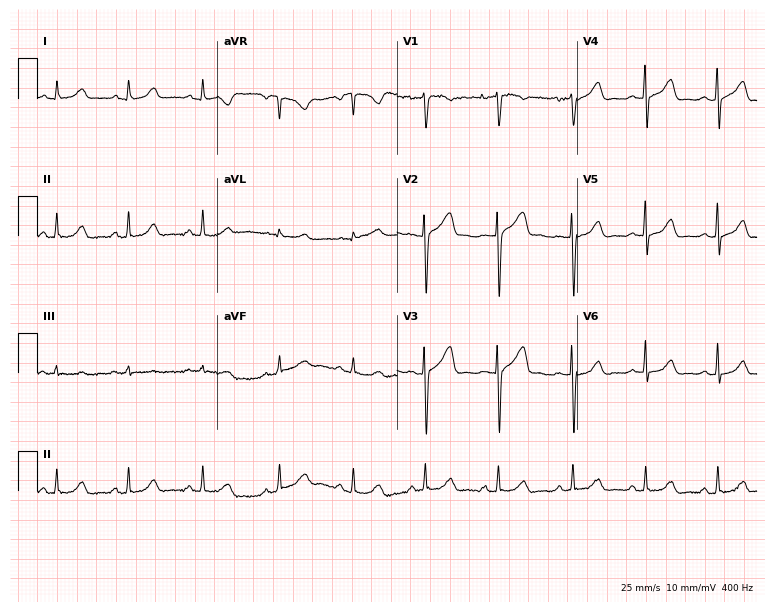
ECG — a woman, 32 years old. Labelled as a normal ECG.